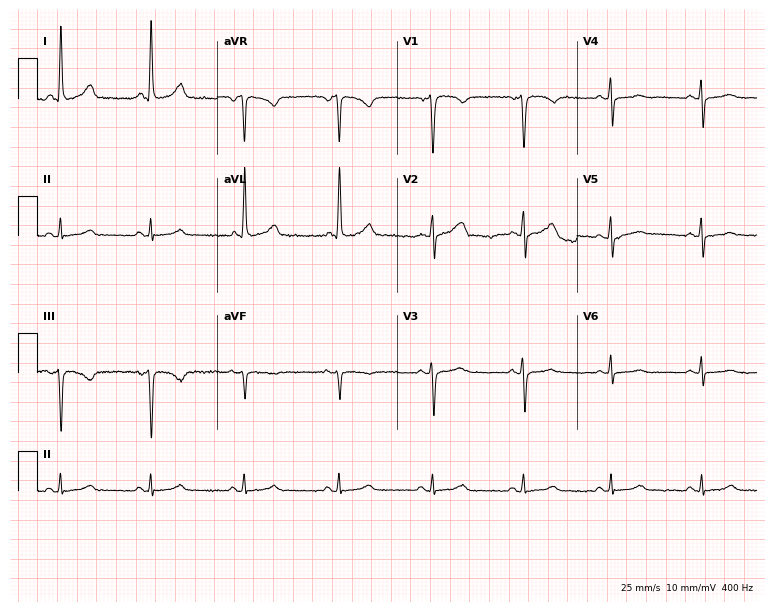
Resting 12-lead electrocardiogram (7.3-second recording at 400 Hz). Patient: a female, 60 years old. None of these six findings is recorded: first-degree AV block, right bundle branch block, left bundle branch block, sinus bradycardia, atrial fibrillation, sinus tachycardia.